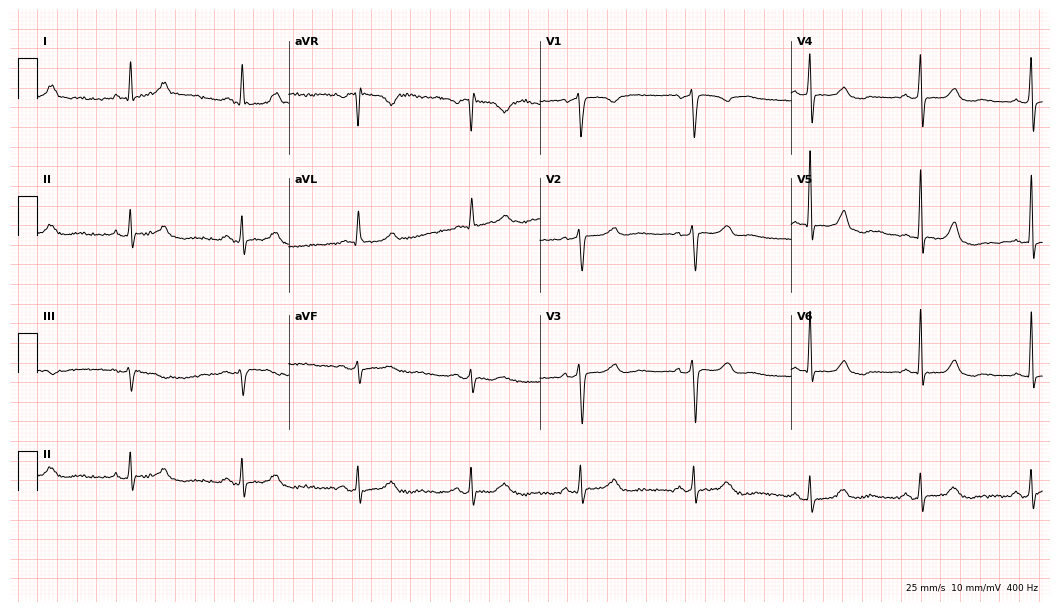
Standard 12-lead ECG recorded from a 55-year-old female patient (10.2-second recording at 400 Hz). None of these six findings is recorded: first-degree AV block, right bundle branch block, left bundle branch block, sinus bradycardia, atrial fibrillation, sinus tachycardia.